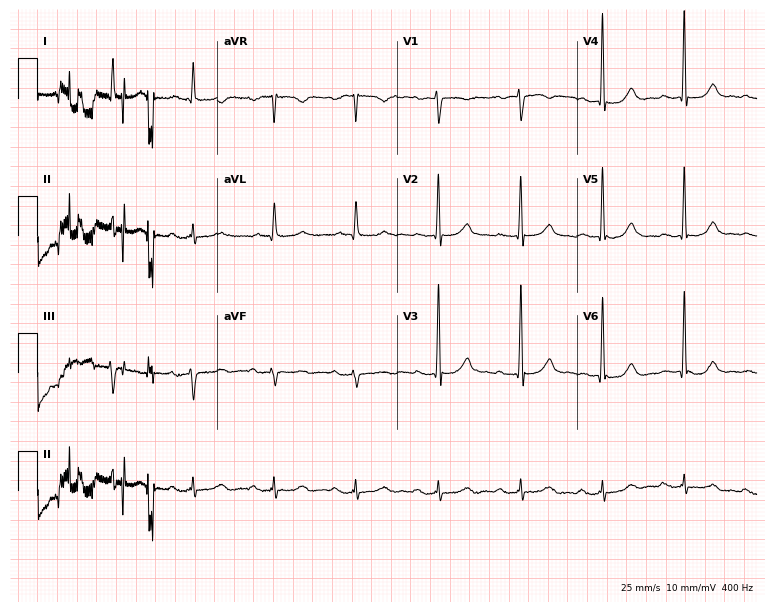
12-lead ECG from a 74-year-old male. No first-degree AV block, right bundle branch block (RBBB), left bundle branch block (LBBB), sinus bradycardia, atrial fibrillation (AF) or sinus tachycardia recorded for this tracing. Findings outside these six are not listed.